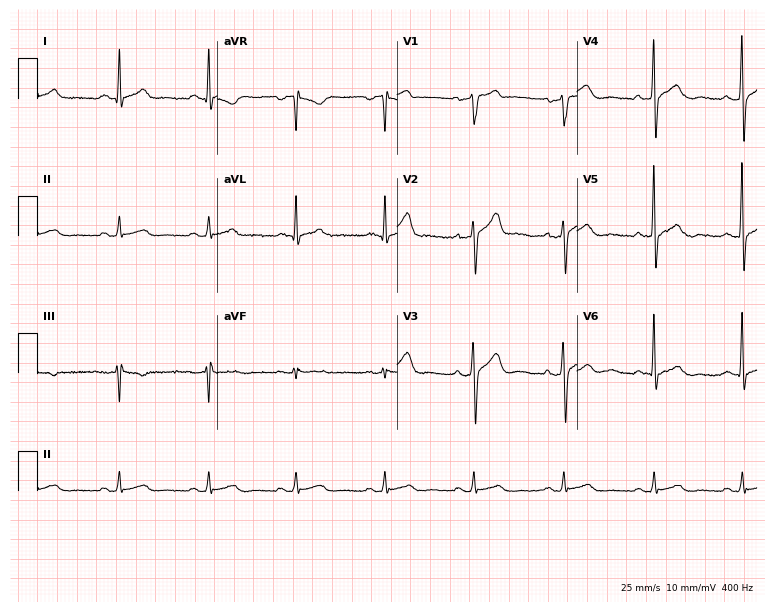
Resting 12-lead electrocardiogram. Patient: a 53-year-old male. Read as a normal ECG.